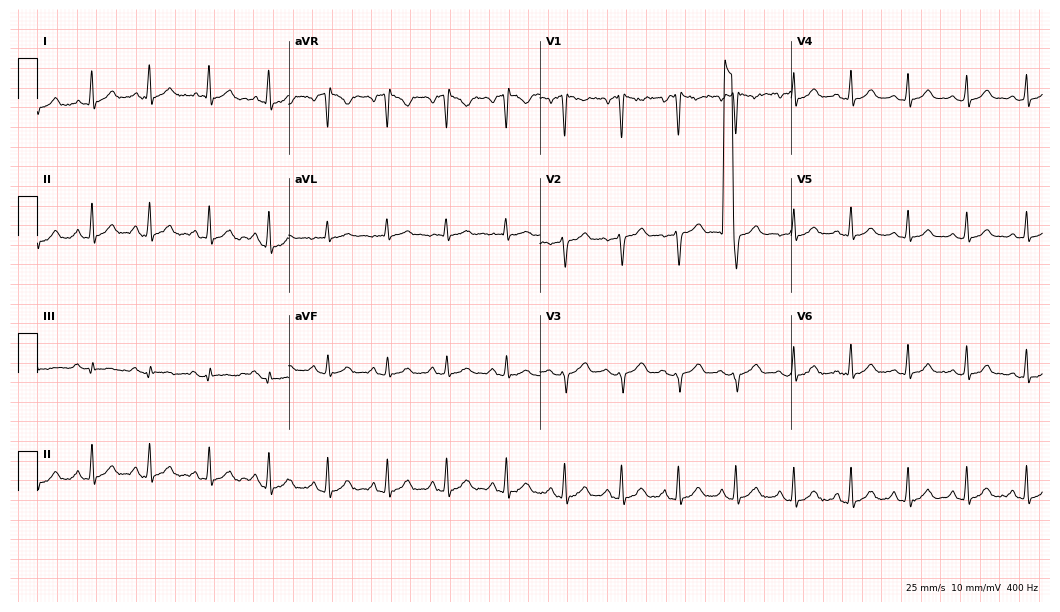
12-lead ECG (10.2-second recording at 400 Hz) from a female, 25 years old. Screened for six findings — first-degree AV block, right bundle branch block, left bundle branch block, sinus bradycardia, atrial fibrillation, sinus tachycardia — none is recorded.